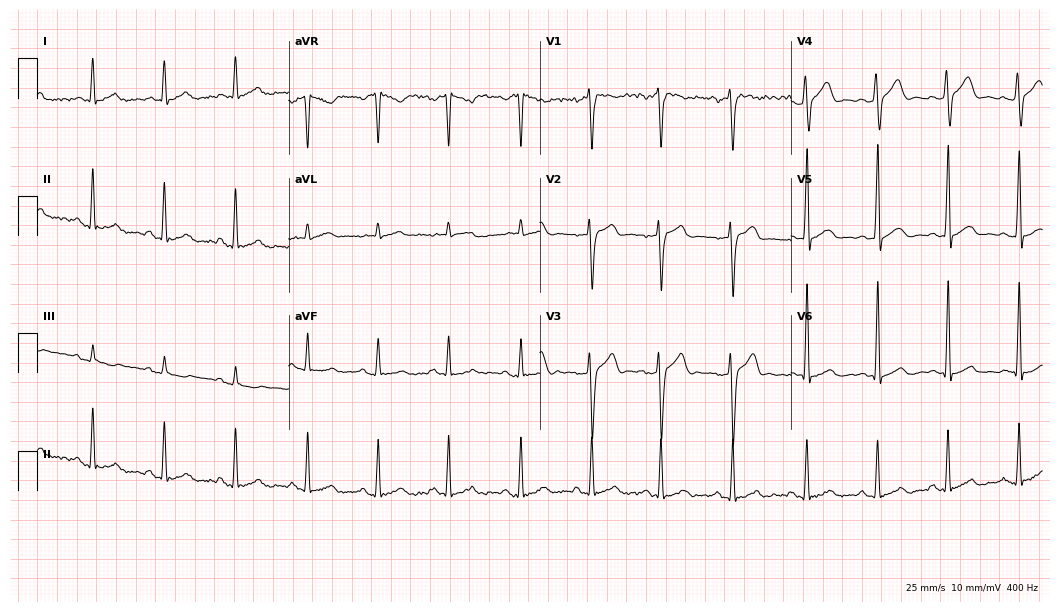
Resting 12-lead electrocardiogram (10.2-second recording at 400 Hz). Patient: a male, 32 years old. Read as a normal ECG.